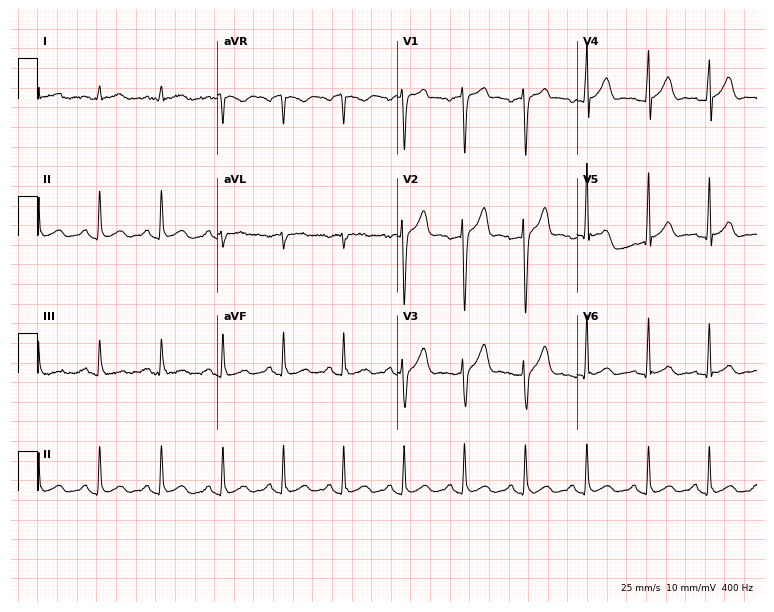
12-lead ECG from a 35-year-old male. No first-degree AV block, right bundle branch block, left bundle branch block, sinus bradycardia, atrial fibrillation or sinus tachycardia recorded for this tracing. Findings outside these six are not listed.